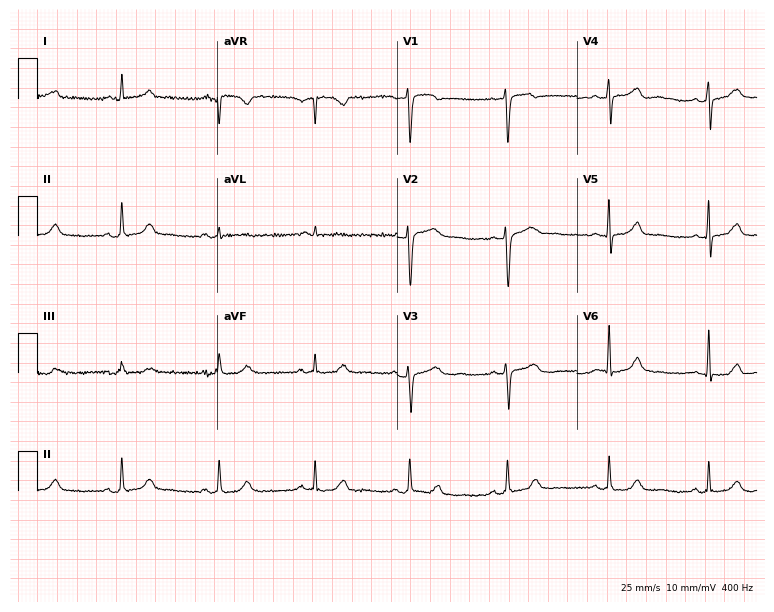
Standard 12-lead ECG recorded from a woman, 39 years old. Read as a normal ECG.